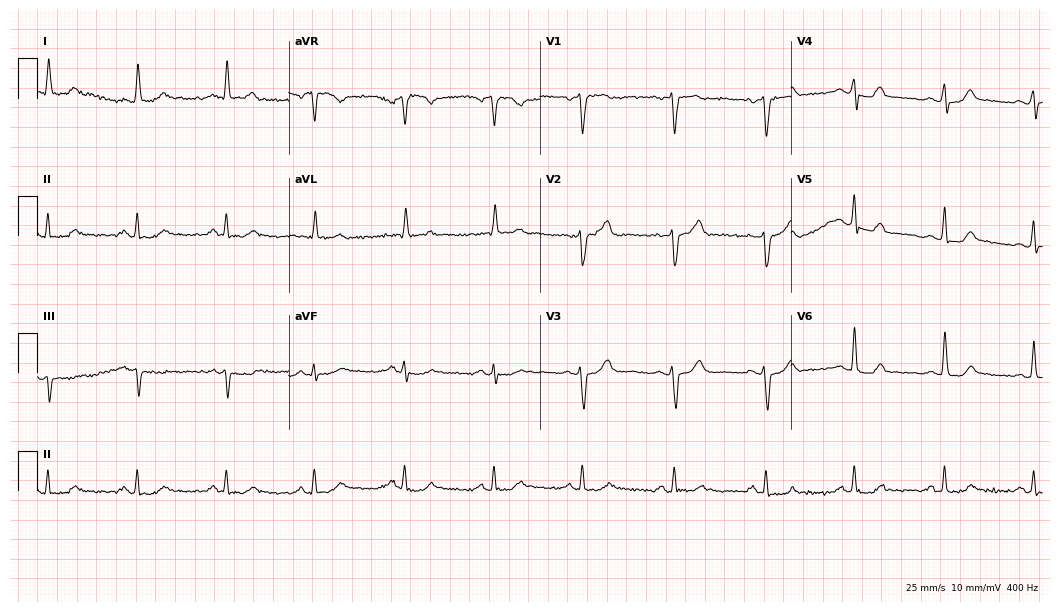
Electrocardiogram, a male patient, 64 years old. Of the six screened findings (first-degree AV block, right bundle branch block (RBBB), left bundle branch block (LBBB), sinus bradycardia, atrial fibrillation (AF), sinus tachycardia), none is recorded.